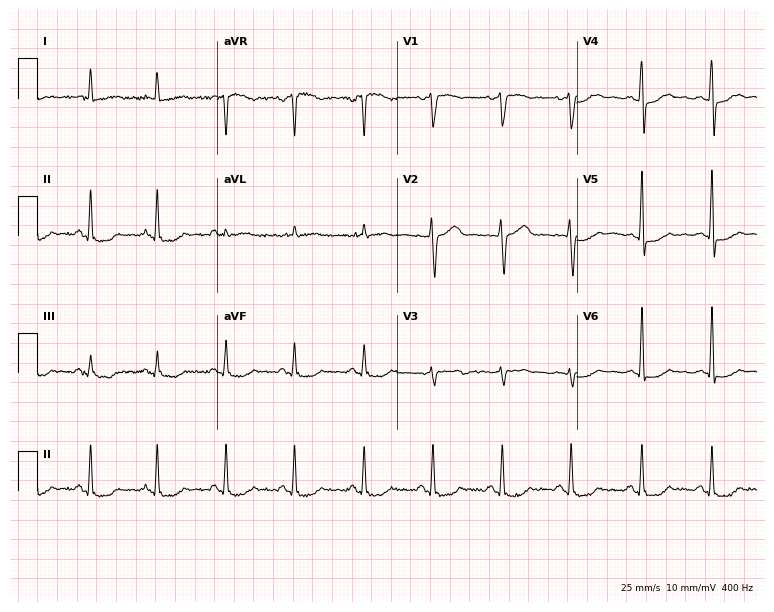
Resting 12-lead electrocardiogram (7.3-second recording at 400 Hz). Patient: a female, 54 years old. None of these six findings is recorded: first-degree AV block, right bundle branch block, left bundle branch block, sinus bradycardia, atrial fibrillation, sinus tachycardia. Findings outside these six are not listed.